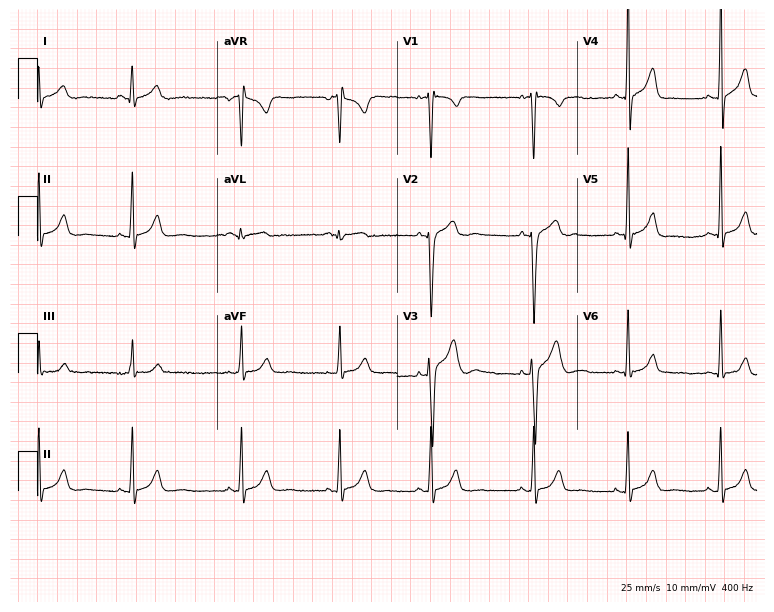
12-lead ECG from a male patient, 18 years old (7.3-second recording at 400 Hz). No first-degree AV block, right bundle branch block (RBBB), left bundle branch block (LBBB), sinus bradycardia, atrial fibrillation (AF) or sinus tachycardia recorded for this tracing.